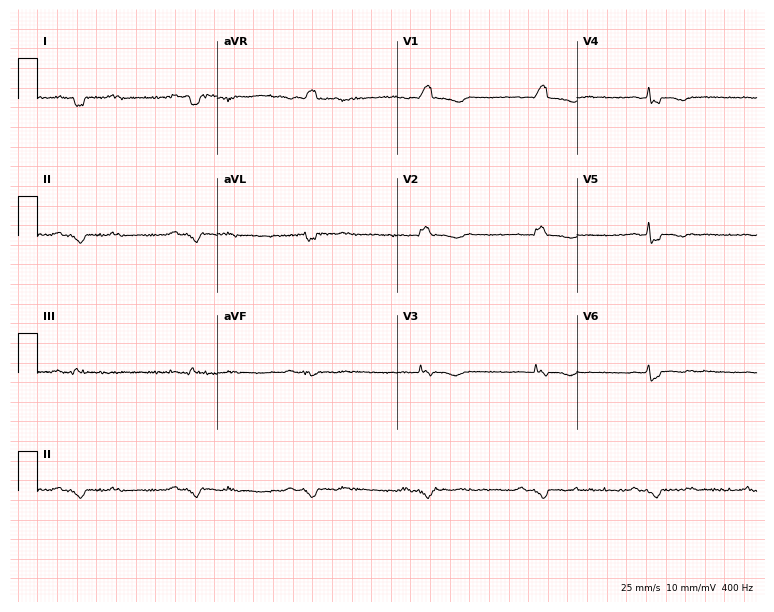
ECG — a 59-year-old woman. Findings include right bundle branch block (RBBB).